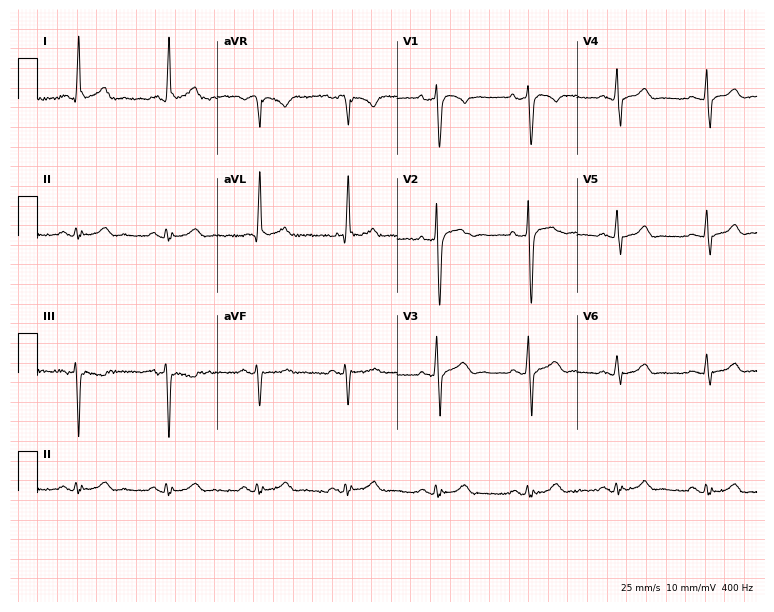
Resting 12-lead electrocardiogram (7.3-second recording at 400 Hz). Patient: a man, 73 years old. Read as a normal ECG.